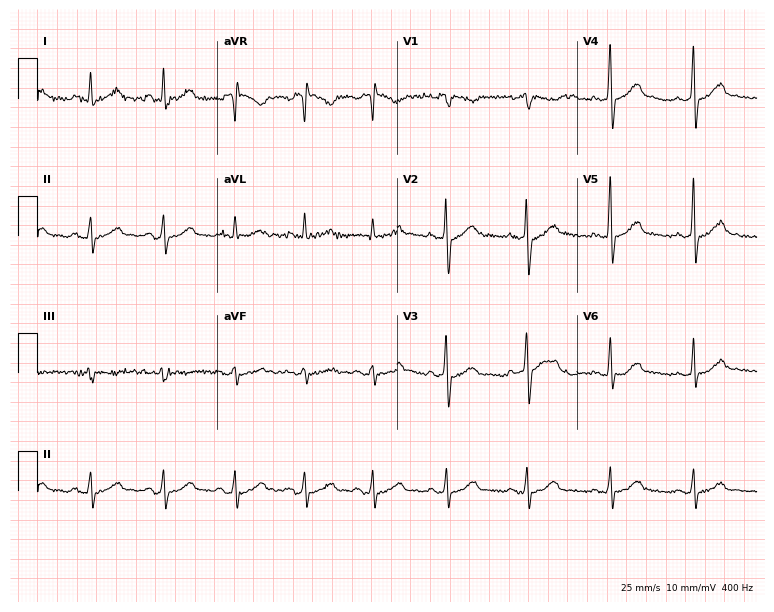
12-lead ECG from a 55-year-old male patient. Recorded interpretation: within normal limits.